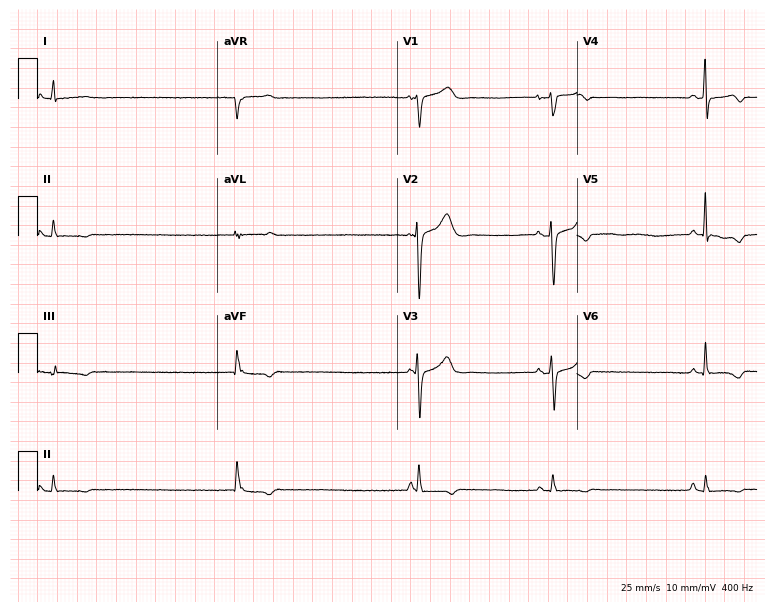
Resting 12-lead electrocardiogram. Patient: a 48-year-old male. None of these six findings is recorded: first-degree AV block, right bundle branch block, left bundle branch block, sinus bradycardia, atrial fibrillation, sinus tachycardia. Findings outside these six are not listed.